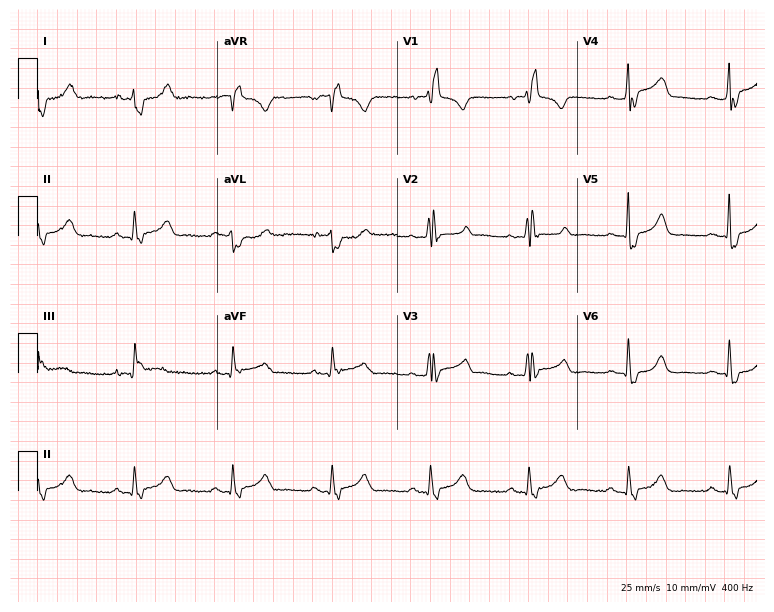
Electrocardiogram (7.3-second recording at 400 Hz), a female patient, 76 years old. Interpretation includes right bundle branch block.